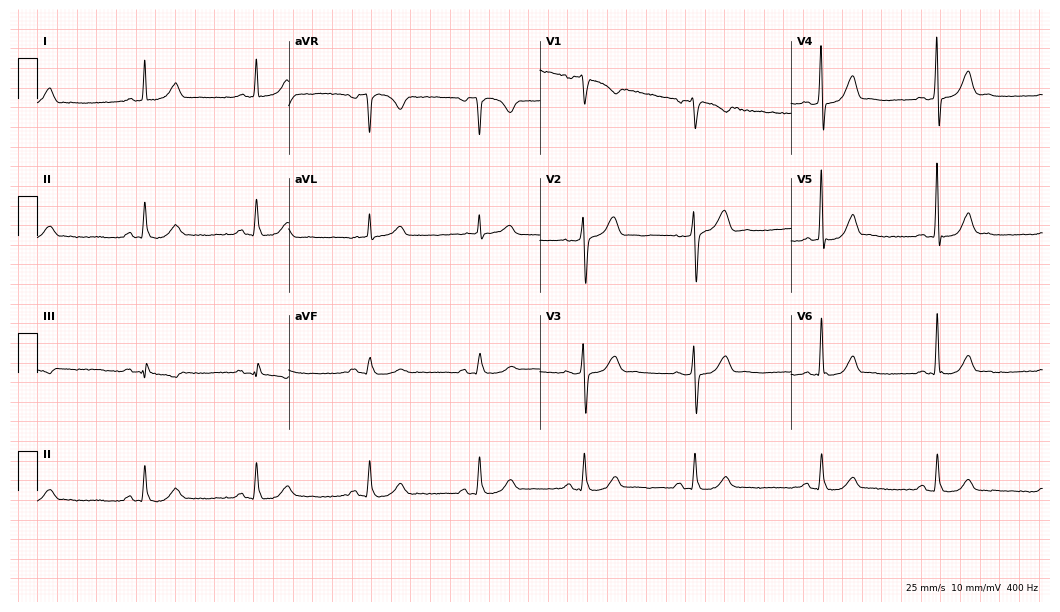
Electrocardiogram, a 71-year-old man. Overall reading on record: normal ECG.